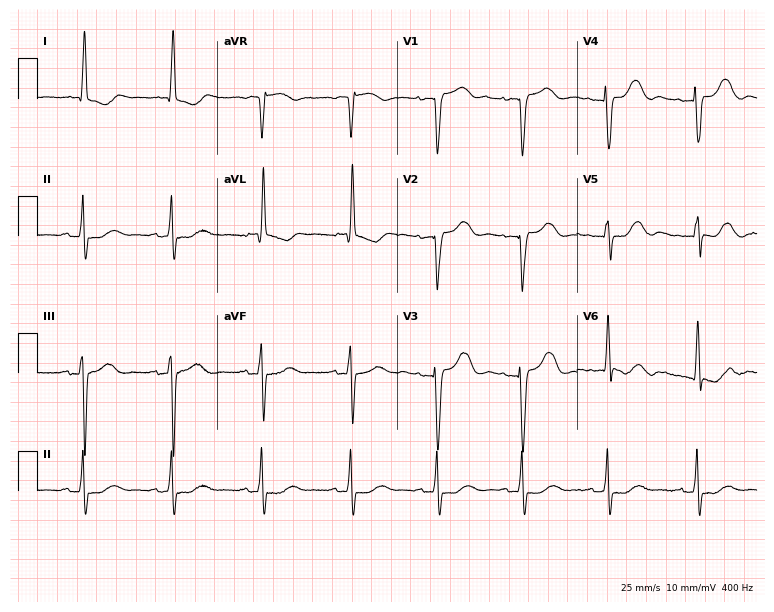
ECG (7.3-second recording at 400 Hz) — an 81-year-old female. Screened for six findings — first-degree AV block, right bundle branch block, left bundle branch block, sinus bradycardia, atrial fibrillation, sinus tachycardia — none is recorded.